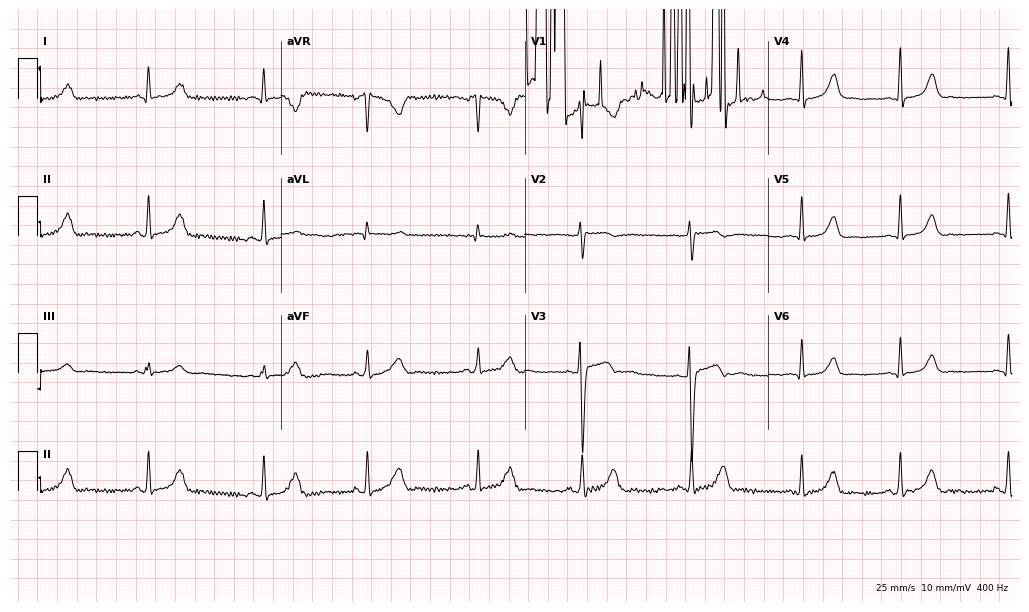
Resting 12-lead electrocardiogram (9.9-second recording at 400 Hz). Patient: a female, 22 years old. None of these six findings is recorded: first-degree AV block, right bundle branch block, left bundle branch block, sinus bradycardia, atrial fibrillation, sinus tachycardia. Only these six findings were labelled.